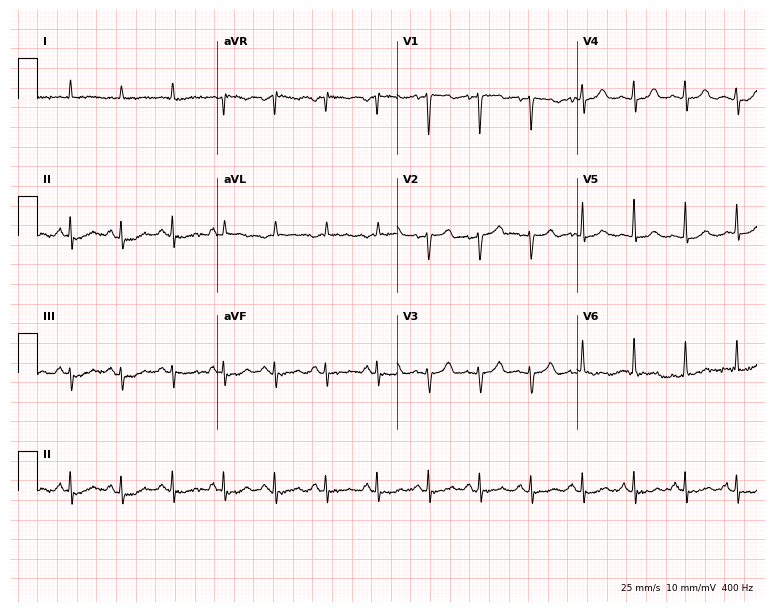
12-lead ECG from an 82-year-old woman. Findings include sinus tachycardia (a sinus rate of 100 beats per minute or more).